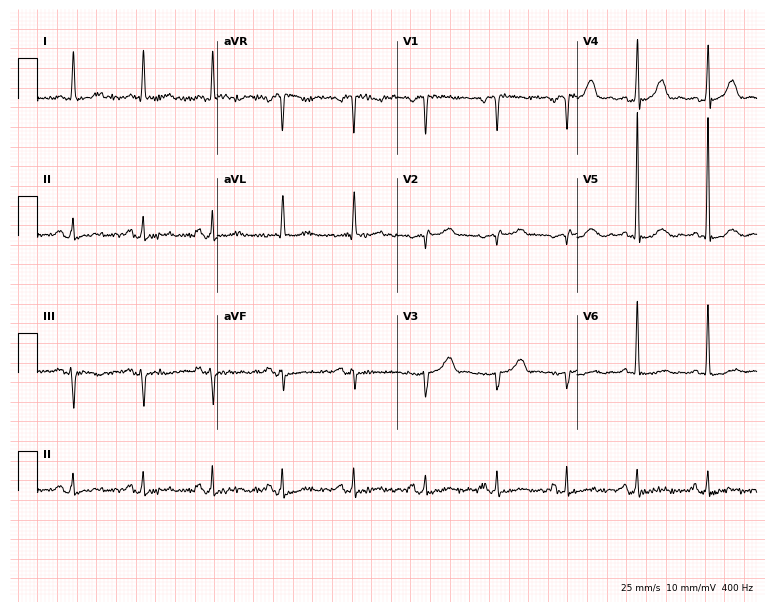
Electrocardiogram, a 65-year-old woman. Of the six screened findings (first-degree AV block, right bundle branch block, left bundle branch block, sinus bradycardia, atrial fibrillation, sinus tachycardia), none is recorded.